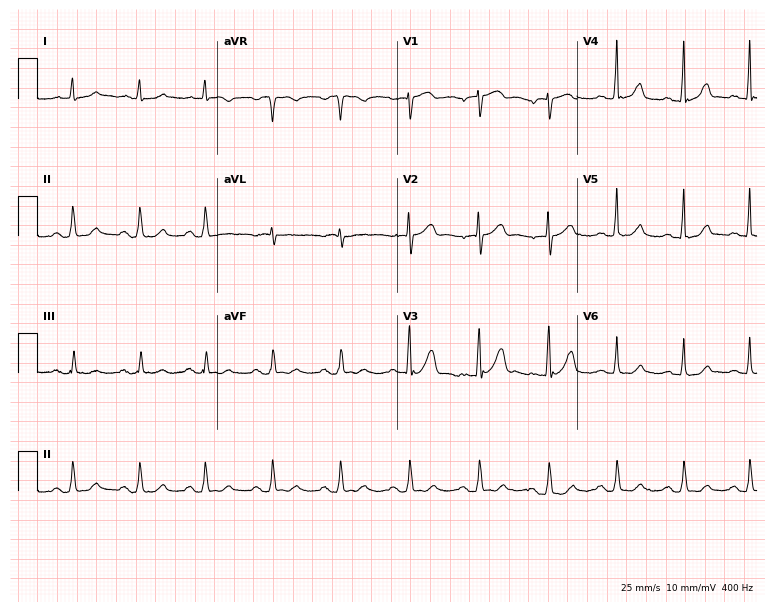
12-lead ECG from a 77-year-old male. No first-degree AV block, right bundle branch block, left bundle branch block, sinus bradycardia, atrial fibrillation or sinus tachycardia recorded for this tracing. Findings outside these six are not listed.